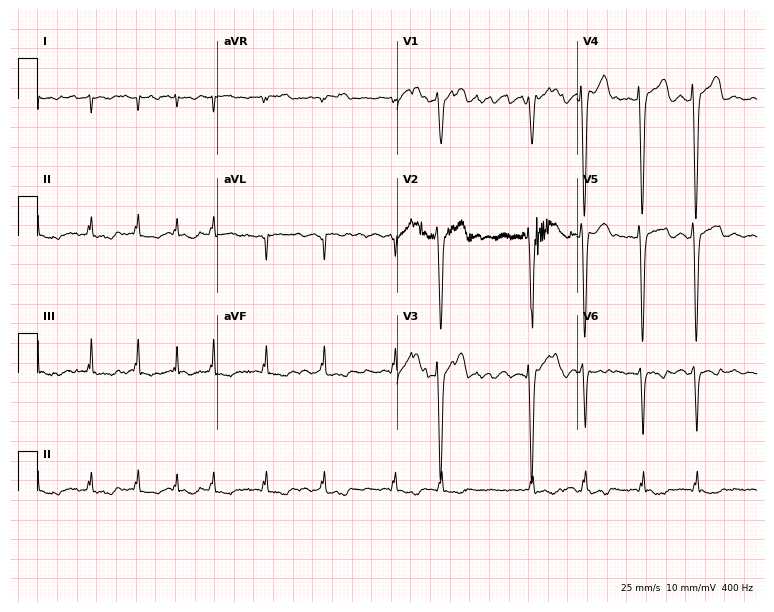
12-lead ECG (7.3-second recording at 400 Hz) from a 51-year-old male patient. Findings include atrial fibrillation.